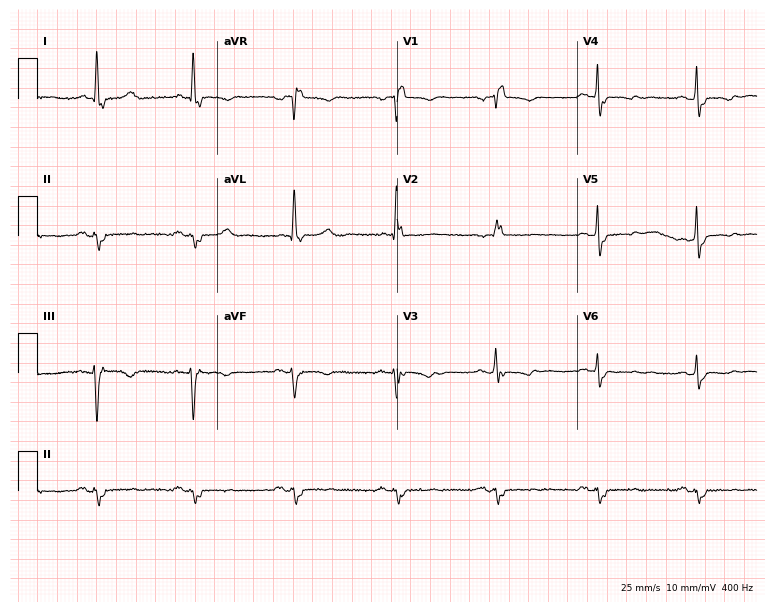
Resting 12-lead electrocardiogram (7.3-second recording at 400 Hz). Patient: a 78-year-old female. The tracing shows right bundle branch block.